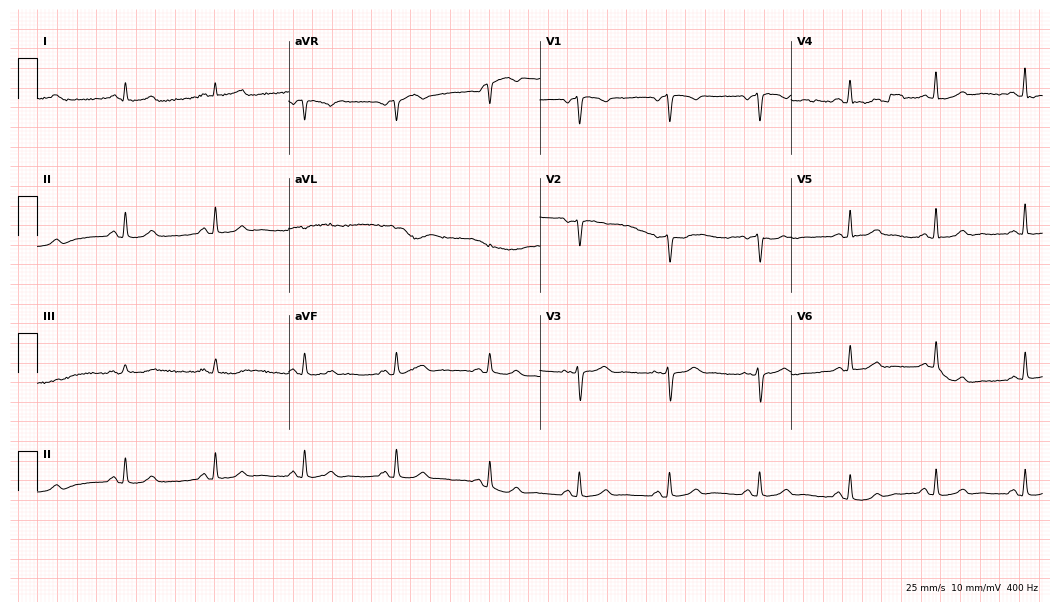
ECG — a woman, 47 years old. Screened for six findings — first-degree AV block, right bundle branch block, left bundle branch block, sinus bradycardia, atrial fibrillation, sinus tachycardia — none is recorded. Findings outside these six are not listed.